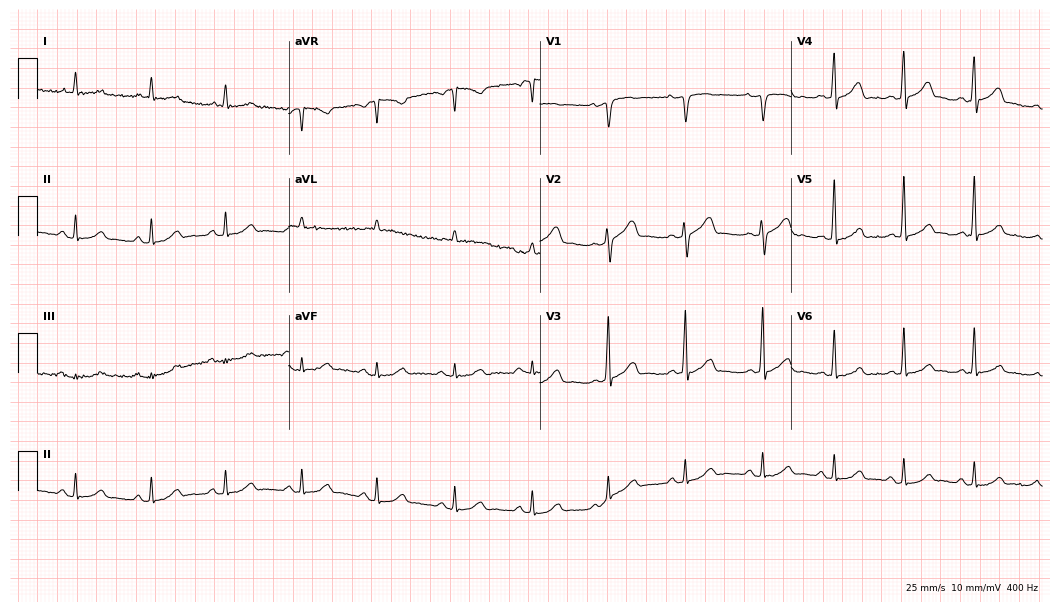
Resting 12-lead electrocardiogram. Patient: a 70-year-old male. Read as a normal ECG.